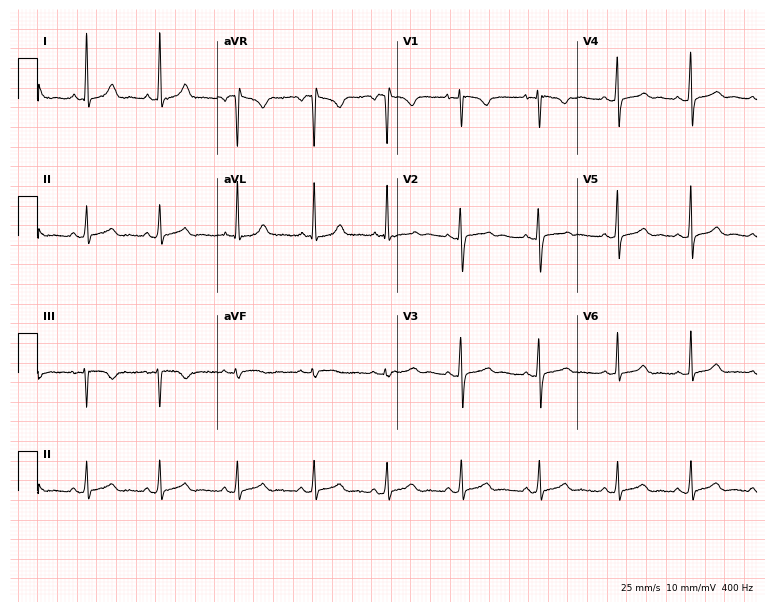
12-lead ECG from a 20-year-old woman (7.3-second recording at 400 Hz). No first-degree AV block, right bundle branch block, left bundle branch block, sinus bradycardia, atrial fibrillation or sinus tachycardia recorded for this tracing. Only these six findings were labelled.